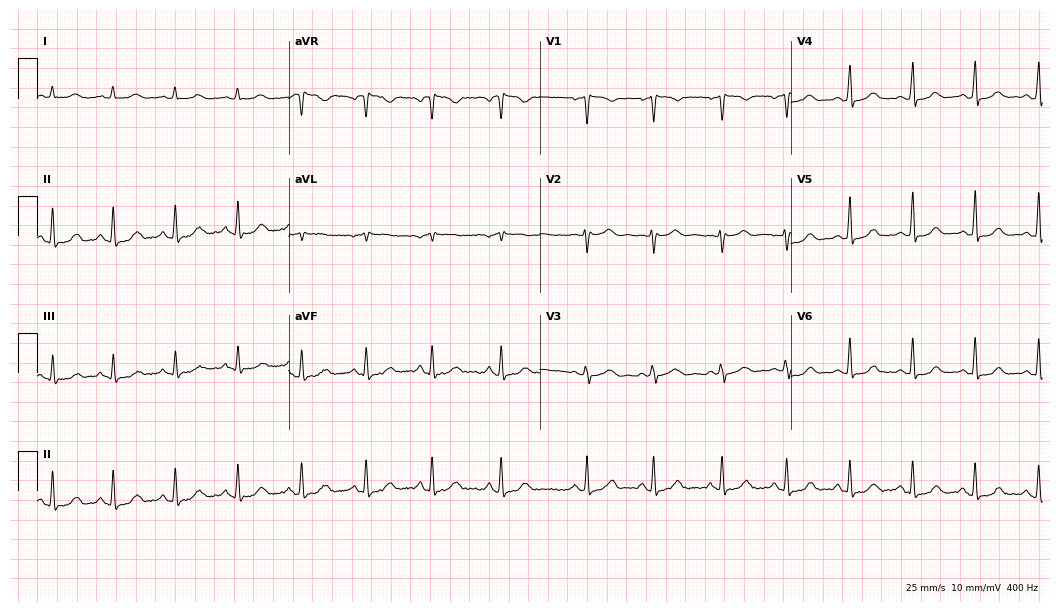
Resting 12-lead electrocardiogram (10.2-second recording at 400 Hz). Patient: a 38-year-old female. None of these six findings is recorded: first-degree AV block, right bundle branch block, left bundle branch block, sinus bradycardia, atrial fibrillation, sinus tachycardia.